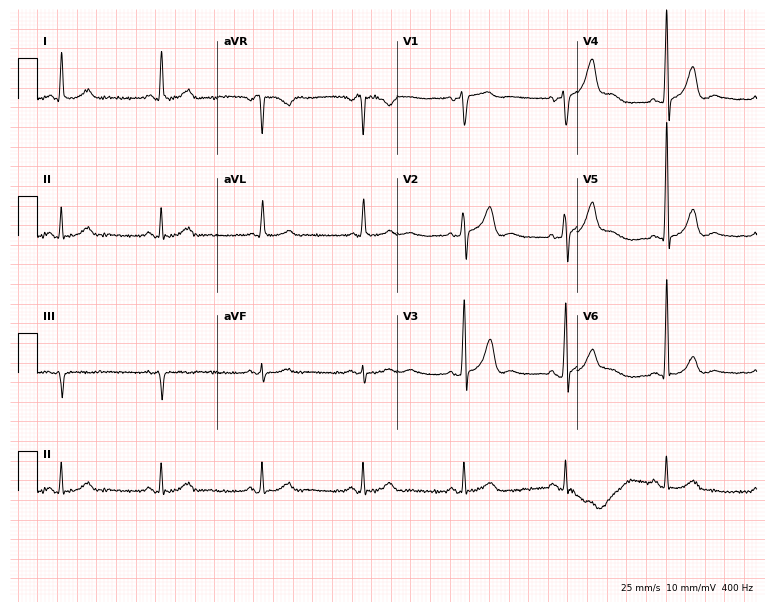
12-lead ECG from a male patient, 64 years old. Labelled as a normal ECG.